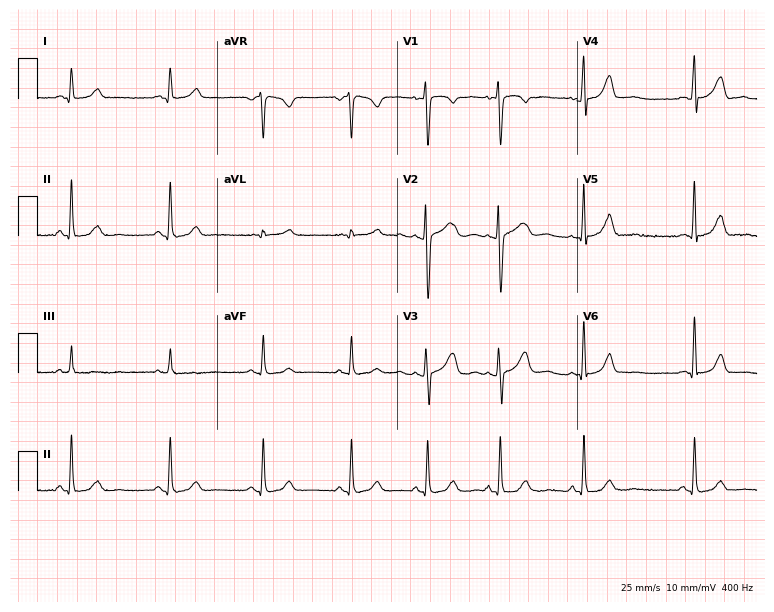
ECG (7.3-second recording at 400 Hz) — a 37-year-old female. Screened for six findings — first-degree AV block, right bundle branch block (RBBB), left bundle branch block (LBBB), sinus bradycardia, atrial fibrillation (AF), sinus tachycardia — none is recorded. Findings outside these six are not listed.